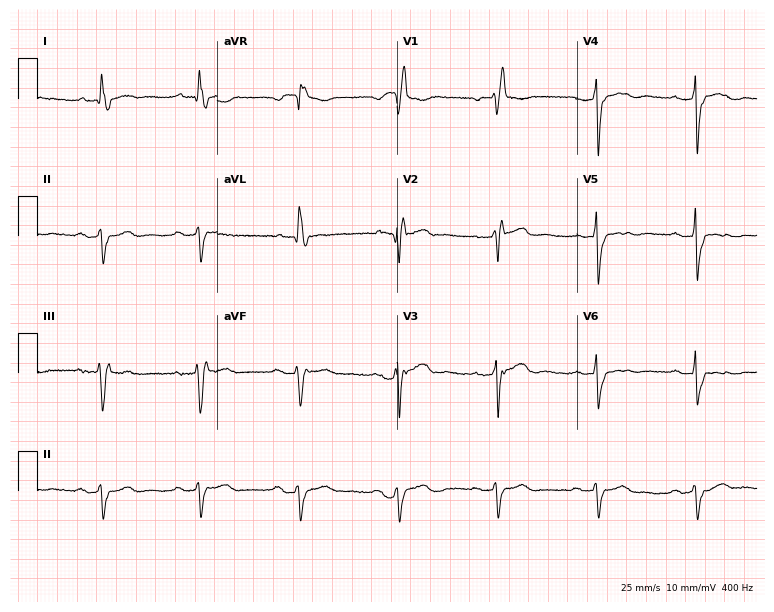
Resting 12-lead electrocardiogram (7.3-second recording at 400 Hz). Patient: an 83-year-old male. The tracing shows first-degree AV block, right bundle branch block.